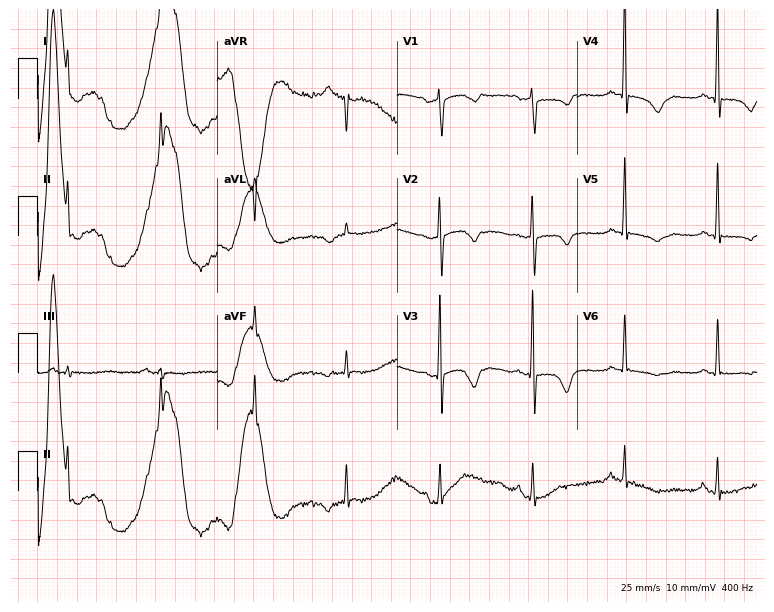
Standard 12-lead ECG recorded from a female patient, 72 years old (7.3-second recording at 400 Hz). None of these six findings is recorded: first-degree AV block, right bundle branch block, left bundle branch block, sinus bradycardia, atrial fibrillation, sinus tachycardia. Other findings, if any, are not listed.